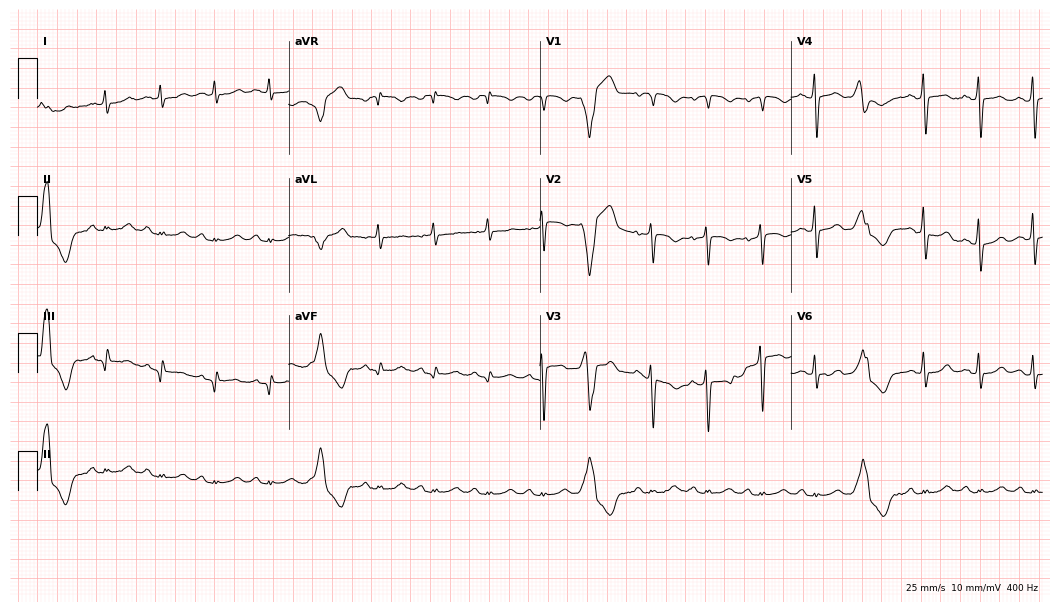
Resting 12-lead electrocardiogram. Patient: an 83-year-old man. None of these six findings is recorded: first-degree AV block, right bundle branch block, left bundle branch block, sinus bradycardia, atrial fibrillation, sinus tachycardia. Only these six findings were labelled.